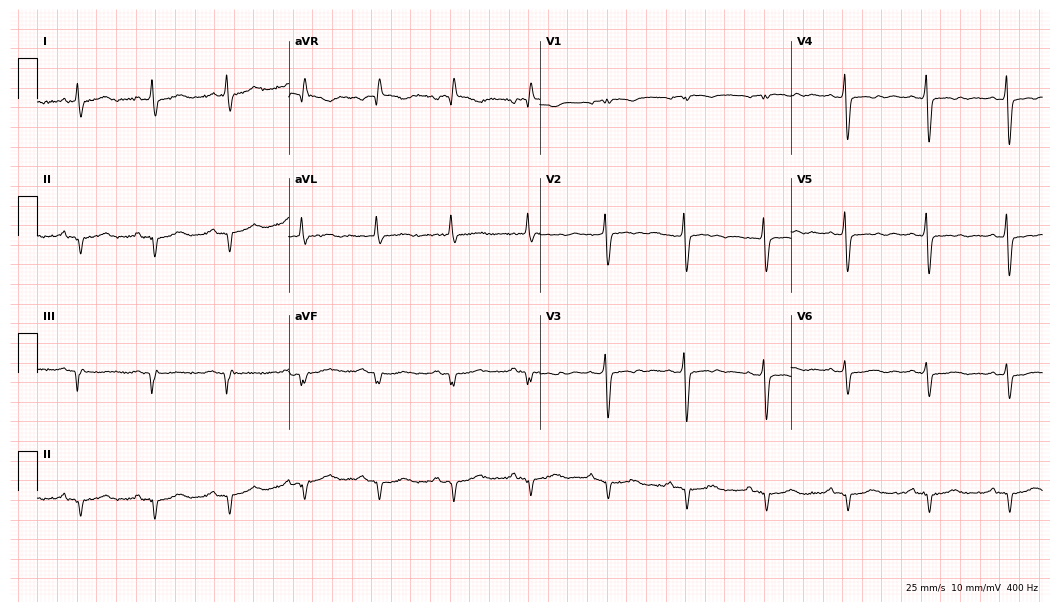
ECG (10.2-second recording at 400 Hz) — a 74-year-old female. Screened for six findings — first-degree AV block, right bundle branch block (RBBB), left bundle branch block (LBBB), sinus bradycardia, atrial fibrillation (AF), sinus tachycardia — none is recorded.